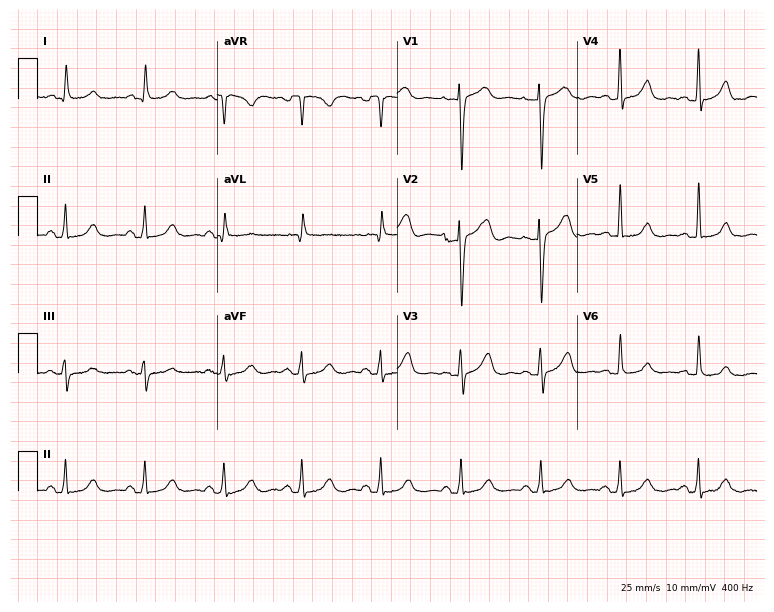
12-lead ECG from a female, 66 years old (7.3-second recording at 400 Hz). Recorded interpretation: within normal limits.